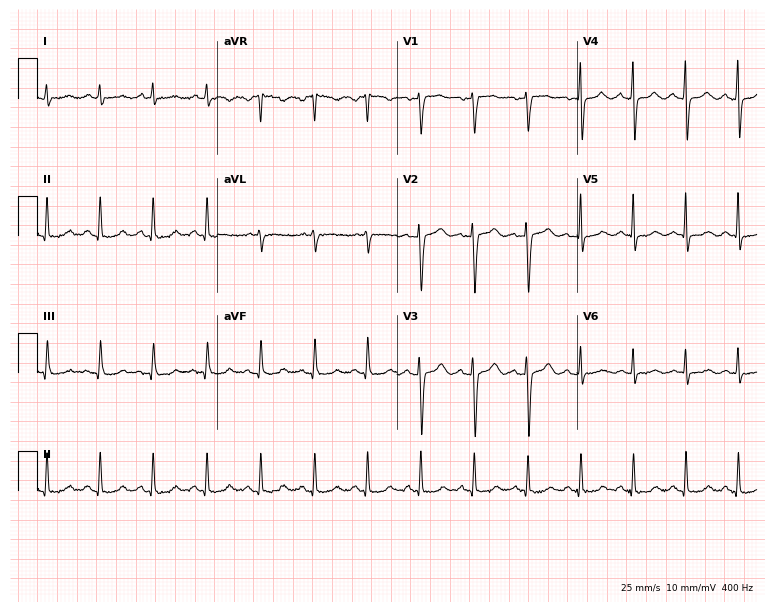
12-lead ECG from a 58-year-old female patient. Shows sinus tachycardia (a sinus rate of 100 beats per minute or more).